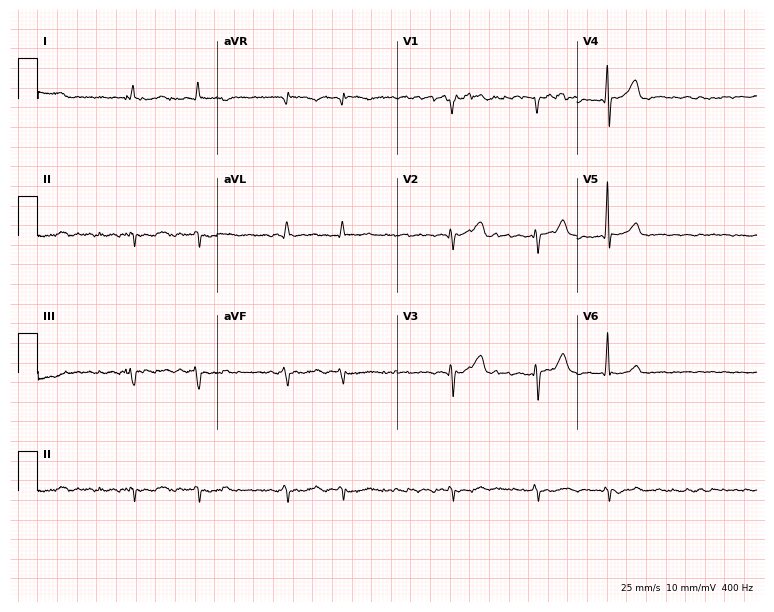
Resting 12-lead electrocardiogram (7.3-second recording at 400 Hz). Patient: a male, 70 years old. The tracing shows atrial fibrillation.